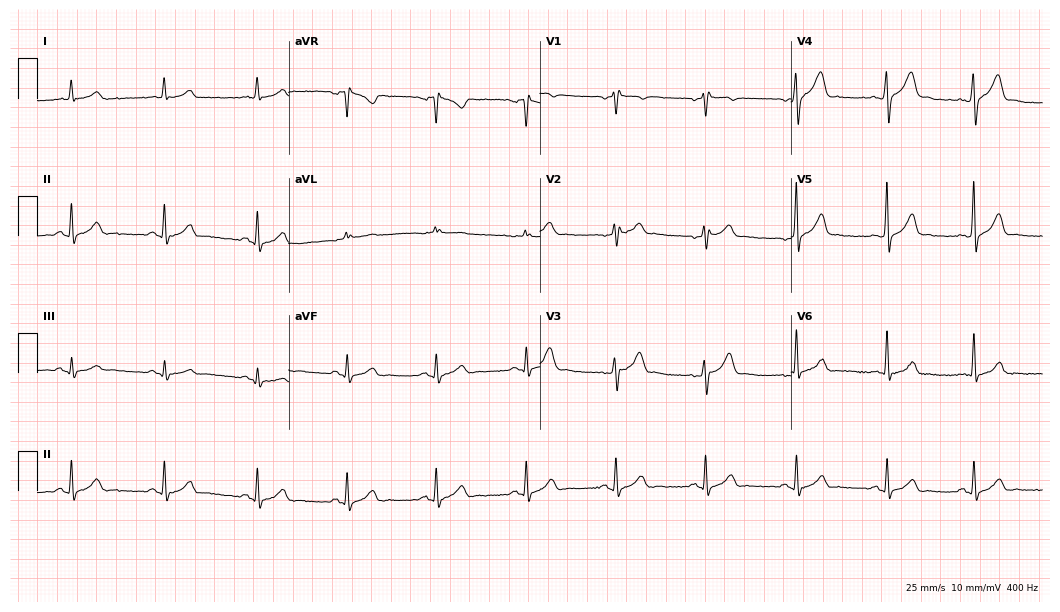
12-lead ECG from a man, 40 years old (10.2-second recording at 400 Hz). Recorded interpretation: within normal limits.